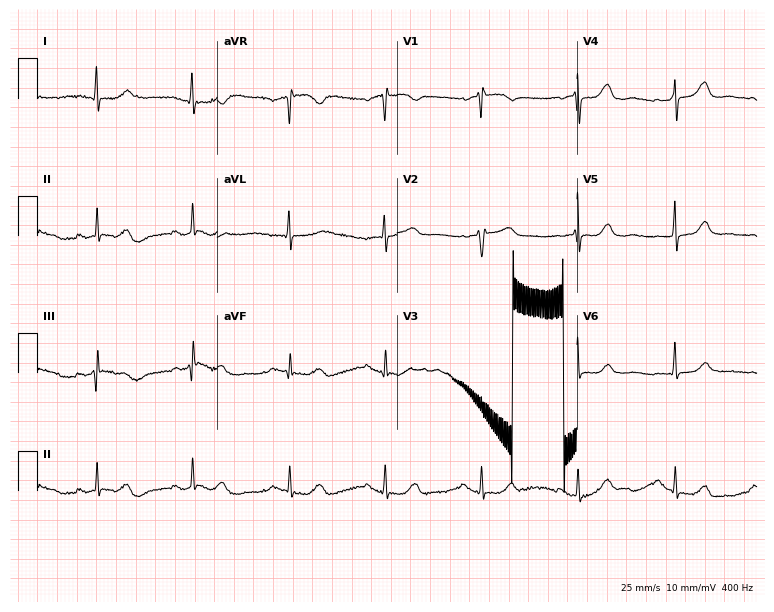
12-lead ECG from an 85-year-old female patient. No first-degree AV block, right bundle branch block, left bundle branch block, sinus bradycardia, atrial fibrillation or sinus tachycardia recorded for this tracing. Only these six findings were labelled.